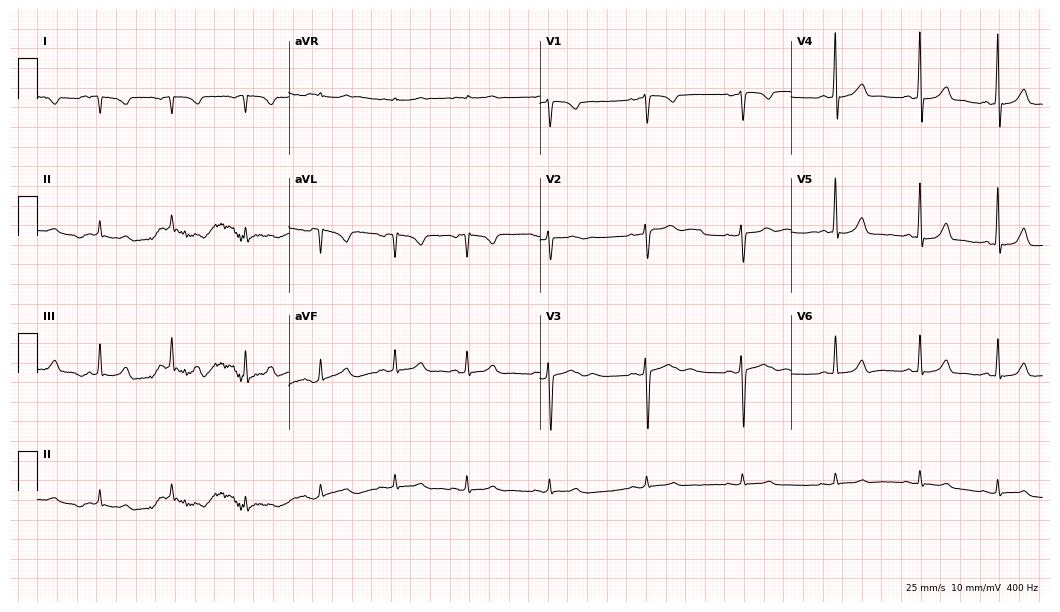
ECG — a 29-year-old woman. Screened for six findings — first-degree AV block, right bundle branch block, left bundle branch block, sinus bradycardia, atrial fibrillation, sinus tachycardia — none is recorded.